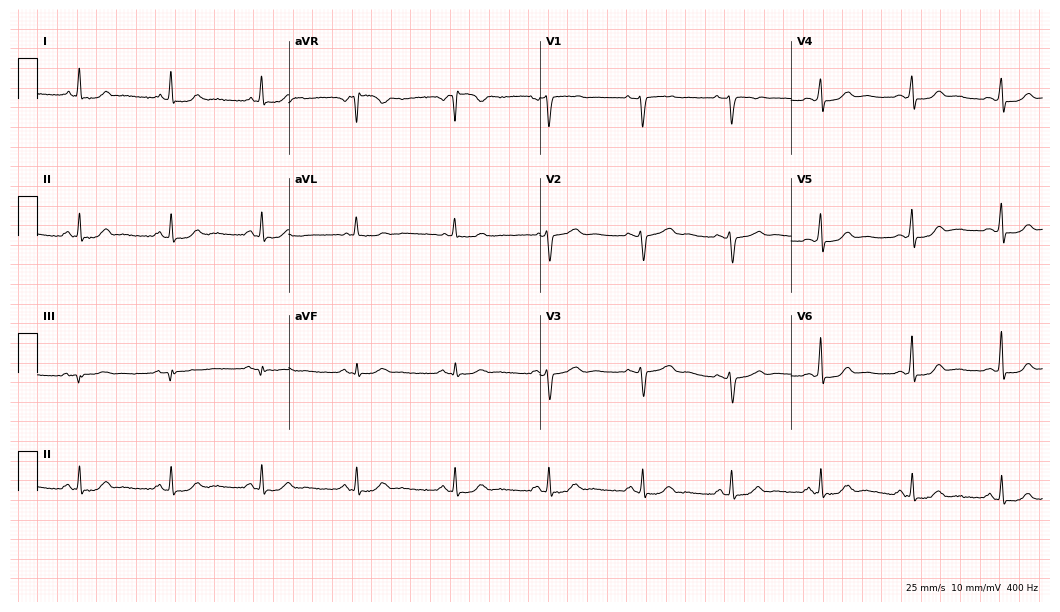
Electrocardiogram (10.2-second recording at 400 Hz), a 47-year-old female patient. Overall reading on record: normal ECG.